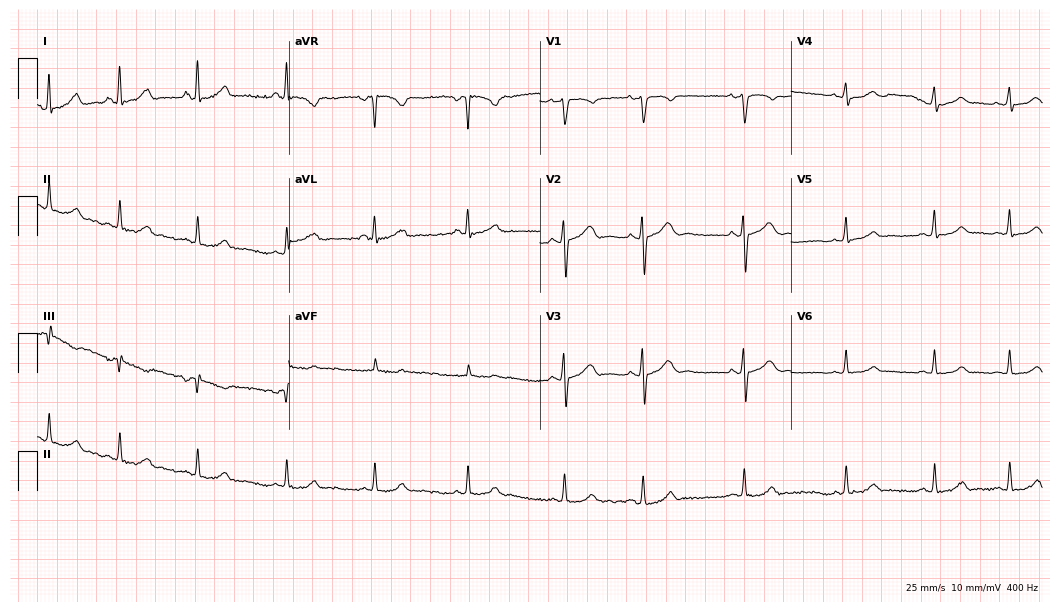
ECG (10.2-second recording at 400 Hz) — a woman, 21 years old. Labelled as a normal ECG.